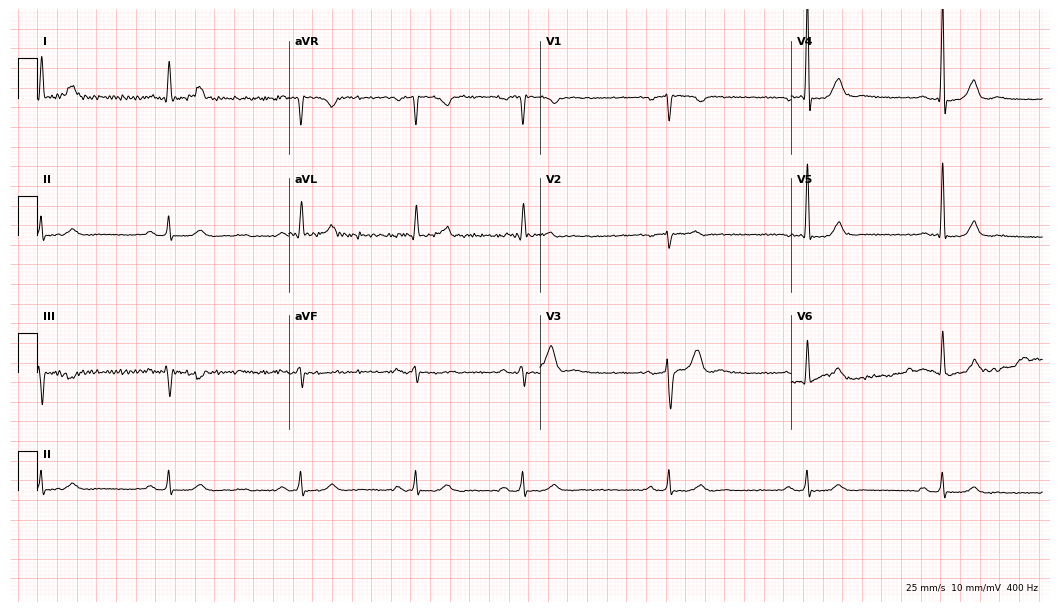
Standard 12-lead ECG recorded from a 57-year-old man. None of these six findings is recorded: first-degree AV block, right bundle branch block, left bundle branch block, sinus bradycardia, atrial fibrillation, sinus tachycardia. Only these six findings were labelled.